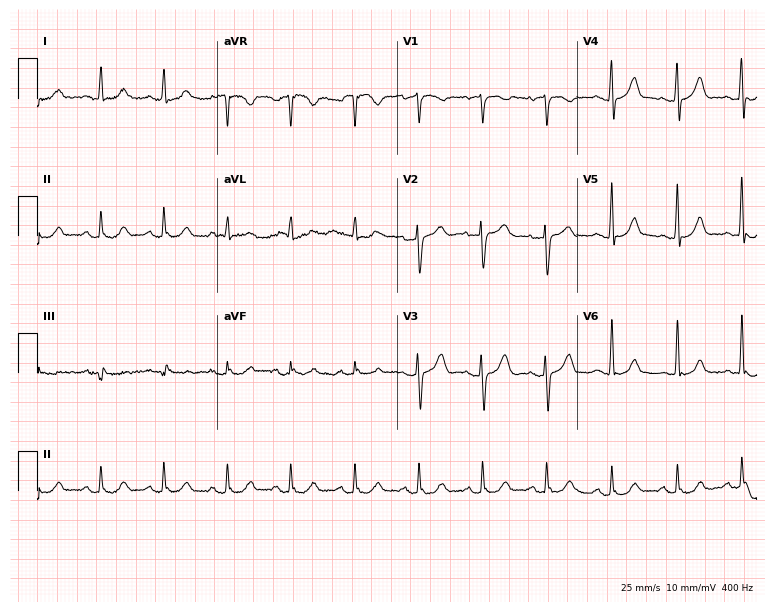
Standard 12-lead ECG recorded from a woman, 58 years old (7.3-second recording at 400 Hz). Read as a normal ECG.